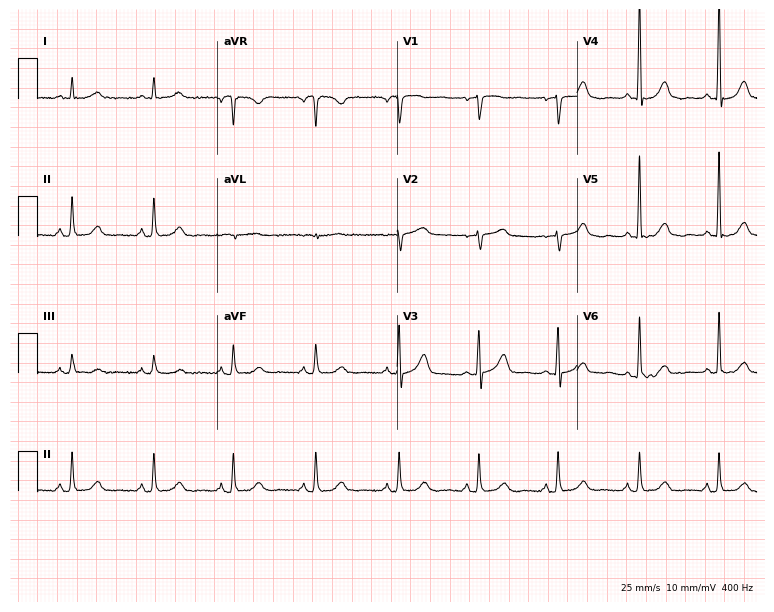
Standard 12-lead ECG recorded from a woman, 59 years old. None of these six findings is recorded: first-degree AV block, right bundle branch block (RBBB), left bundle branch block (LBBB), sinus bradycardia, atrial fibrillation (AF), sinus tachycardia. Other findings, if any, are not listed.